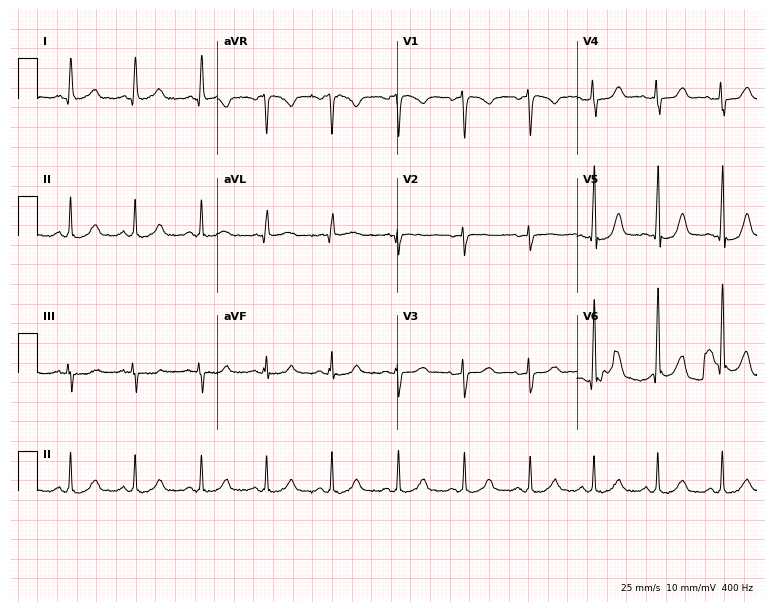
12-lead ECG from a 55-year-old female (7.3-second recording at 400 Hz). Recorded interpretation: within normal limits.